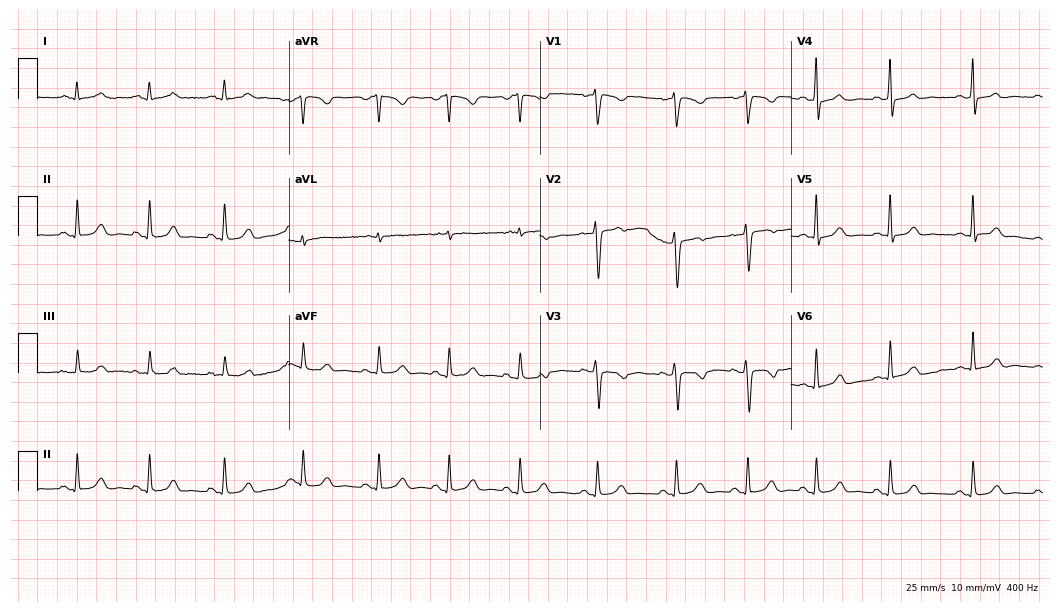
ECG — a 29-year-old female patient. Screened for six findings — first-degree AV block, right bundle branch block, left bundle branch block, sinus bradycardia, atrial fibrillation, sinus tachycardia — none is recorded.